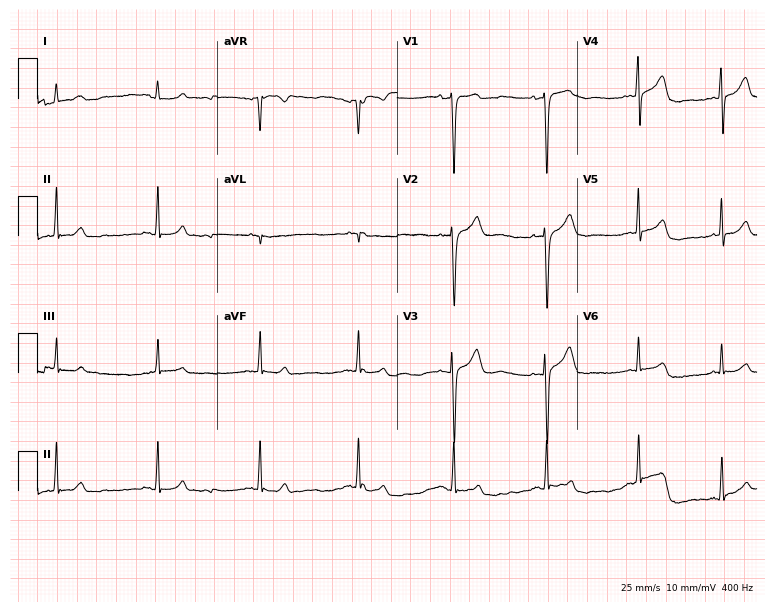
ECG — a 22-year-old male. Labelled as a normal ECG.